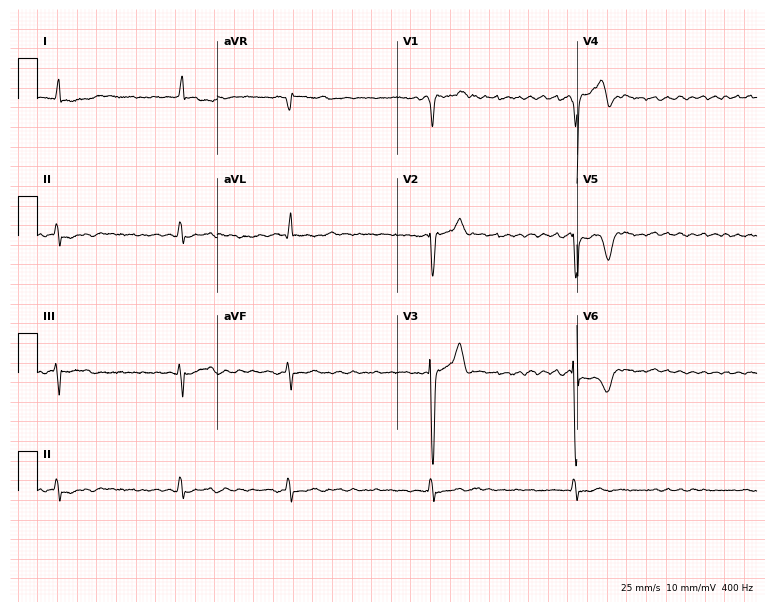
Resting 12-lead electrocardiogram (7.3-second recording at 400 Hz). Patient: a male, 83 years old. The tracing shows atrial fibrillation (AF).